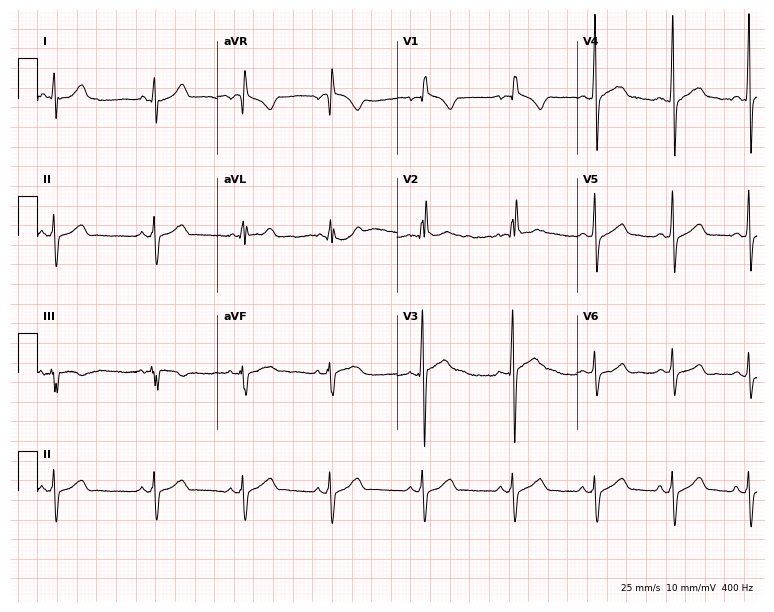
Resting 12-lead electrocardiogram. Patient: a male, 27 years old. None of these six findings is recorded: first-degree AV block, right bundle branch block, left bundle branch block, sinus bradycardia, atrial fibrillation, sinus tachycardia. Only these six findings were labelled.